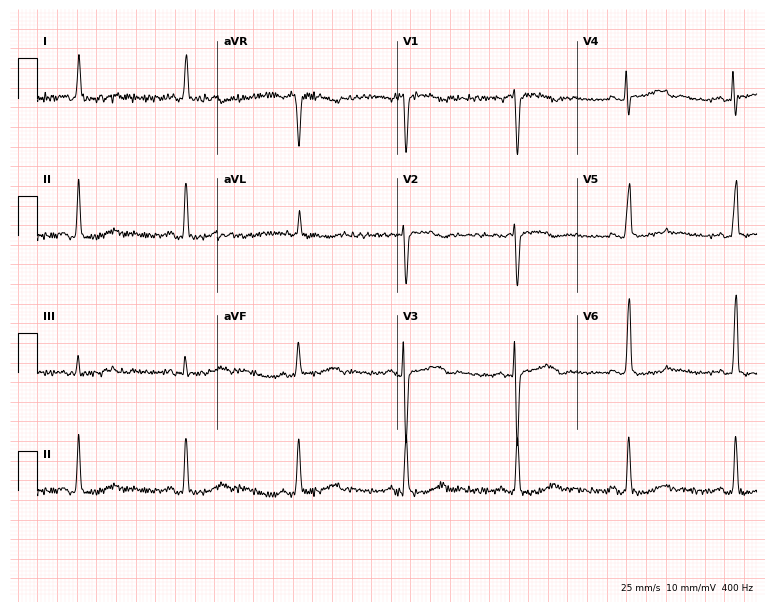
Electrocardiogram (7.3-second recording at 400 Hz), a woman, 64 years old. Of the six screened findings (first-degree AV block, right bundle branch block (RBBB), left bundle branch block (LBBB), sinus bradycardia, atrial fibrillation (AF), sinus tachycardia), none is recorded.